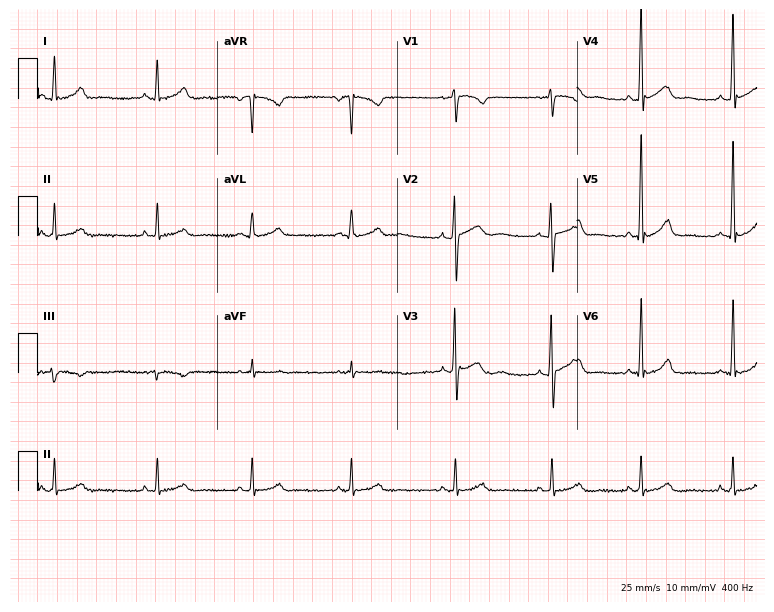
Standard 12-lead ECG recorded from a female patient, 29 years old. Read as a normal ECG.